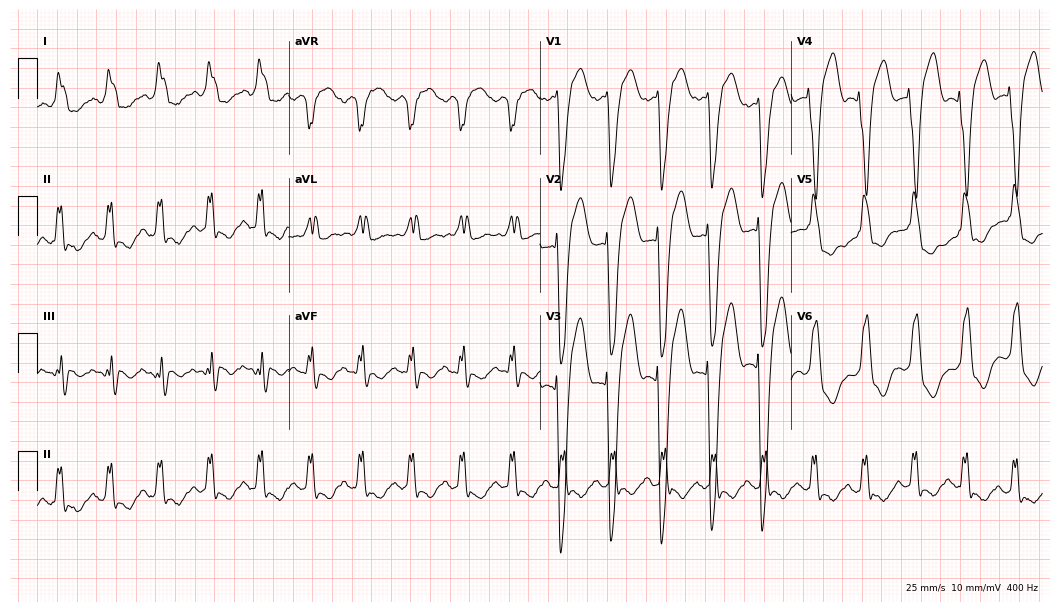
Standard 12-lead ECG recorded from a woman, 71 years old. The tracing shows left bundle branch block, sinus tachycardia (a sinus rate of 100 beats per minute or more).